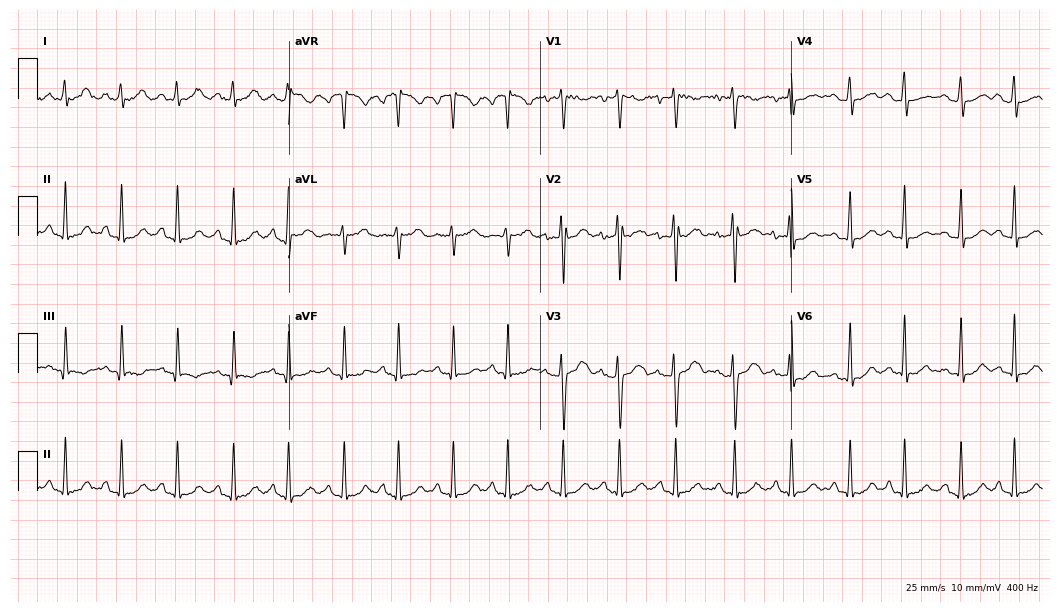
12-lead ECG from a woman, 25 years old (10.2-second recording at 400 Hz). Shows sinus tachycardia (a sinus rate of 100 beats per minute or more).